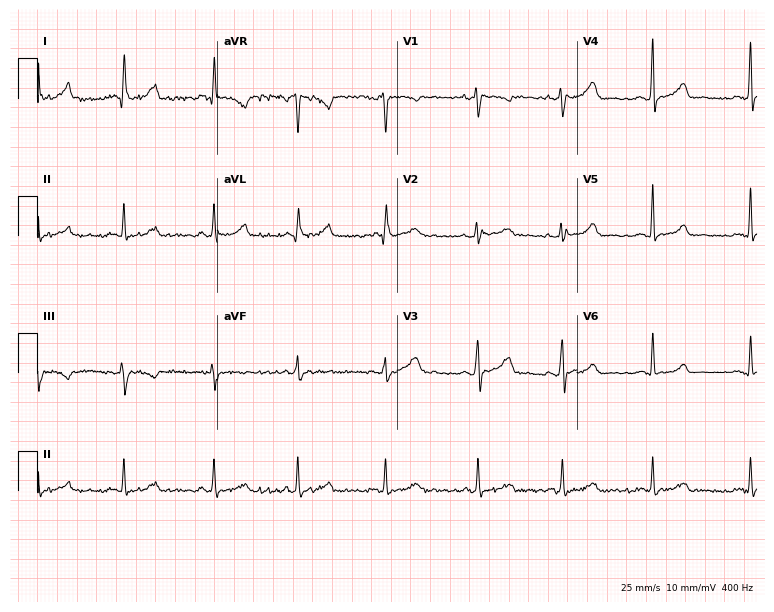
Standard 12-lead ECG recorded from a woman, 30 years old (7.3-second recording at 400 Hz). Read as a normal ECG.